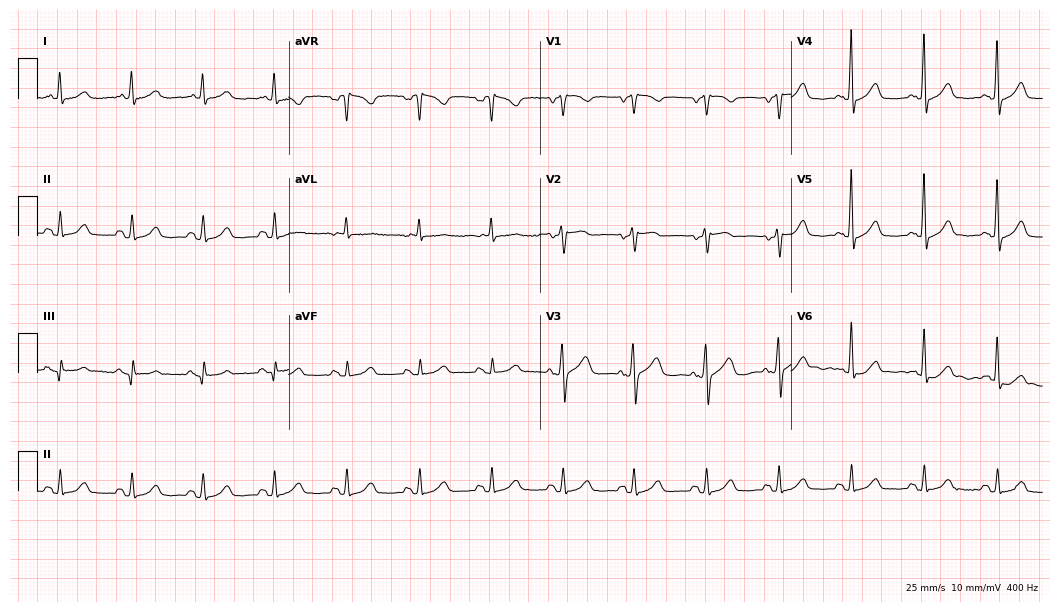
ECG — a woman, 72 years old. Screened for six findings — first-degree AV block, right bundle branch block, left bundle branch block, sinus bradycardia, atrial fibrillation, sinus tachycardia — none is recorded. Only these six findings were labelled.